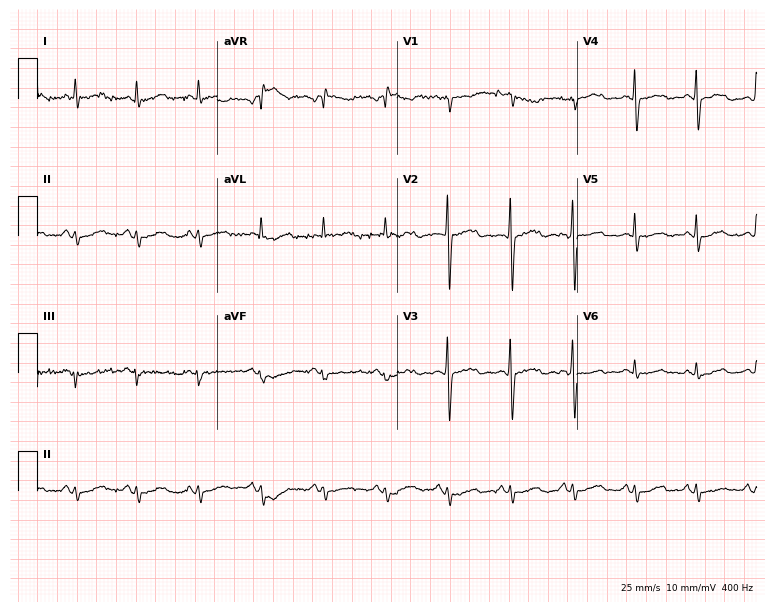
Resting 12-lead electrocardiogram. Patient: a 68-year-old man. None of these six findings is recorded: first-degree AV block, right bundle branch block, left bundle branch block, sinus bradycardia, atrial fibrillation, sinus tachycardia.